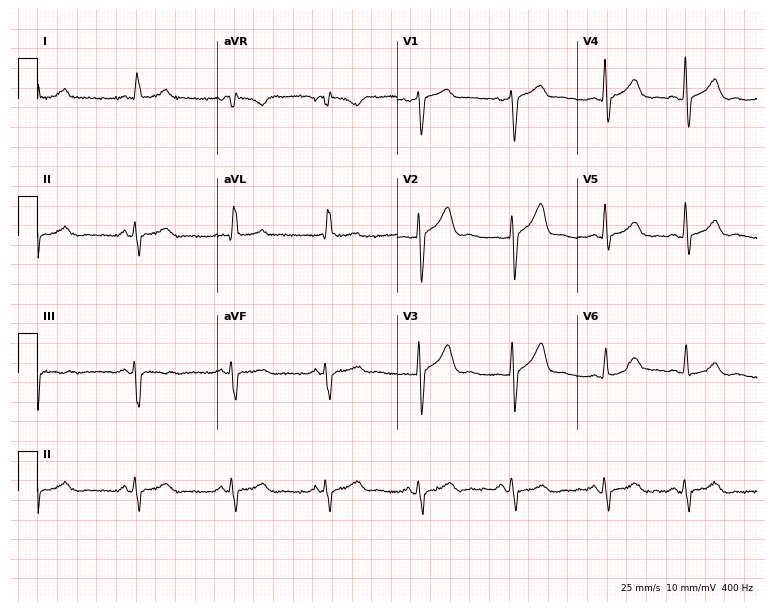
Electrocardiogram (7.3-second recording at 400 Hz), a male patient, 73 years old. Of the six screened findings (first-degree AV block, right bundle branch block, left bundle branch block, sinus bradycardia, atrial fibrillation, sinus tachycardia), none is recorded. Other findings, if any, are not listed.